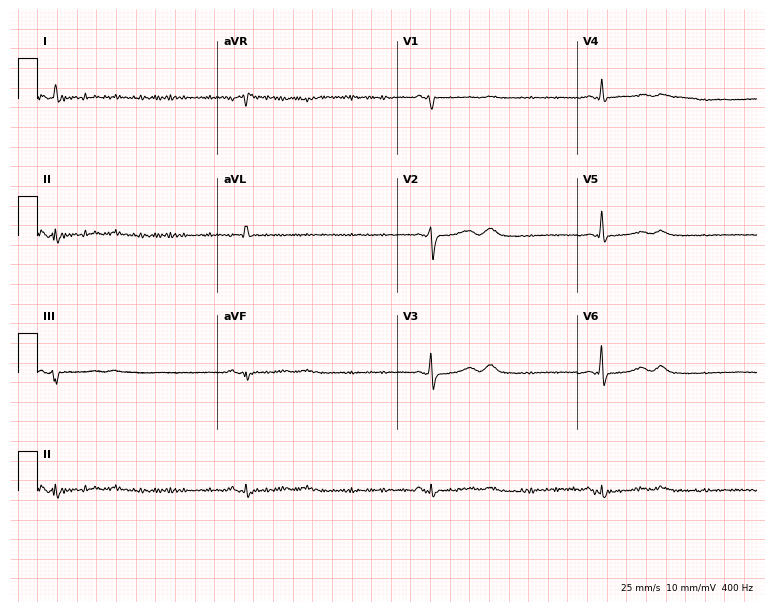
Resting 12-lead electrocardiogram (7.3-second recording at 400 Hz). Patient: a 43-year-old female. None of these six findings is recorded: first-degree AV block, right bundle branch block, left bundle branch block, sinus bradycardia, atrial fibrillation, sinus tachycardia. Only these six findings were labelled.